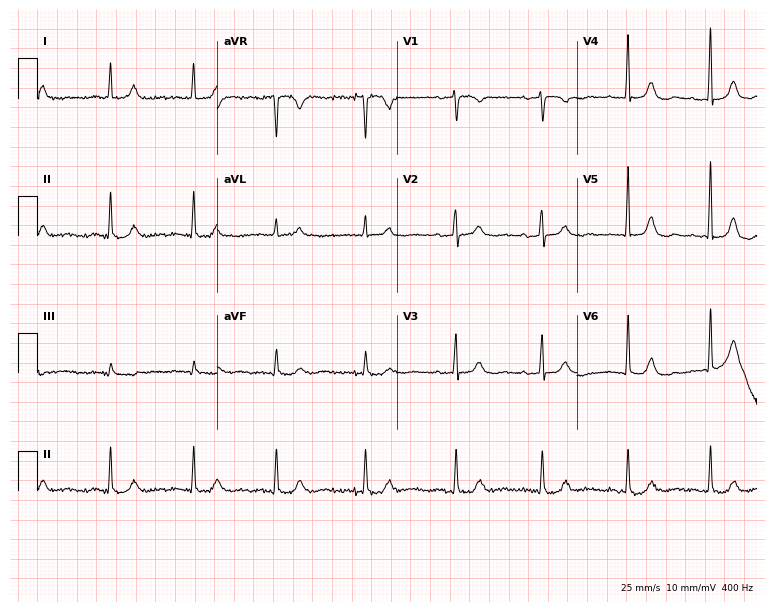
Resting 12-lead electrocardiogram (7.3-second recording at 400 Hz). Patient: an 81-year-old woman. Read as a normal ECG.